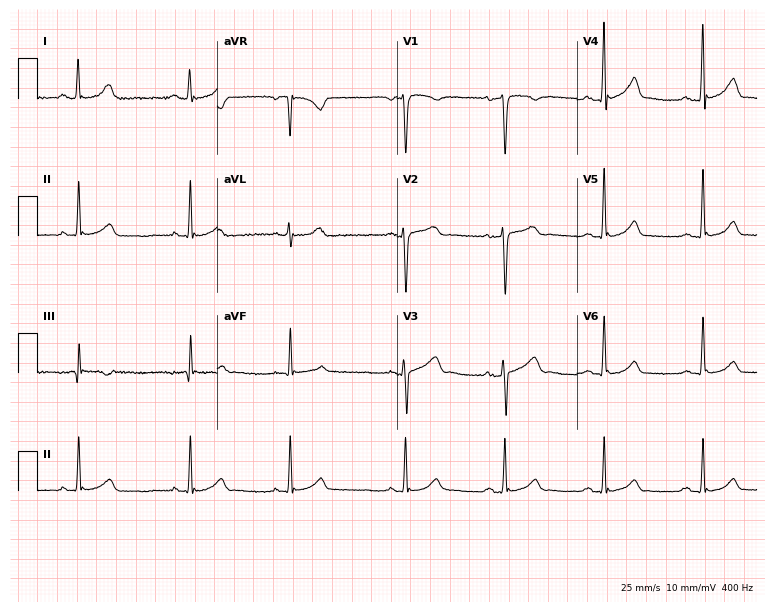
Resting 12-lead electrocardiogram (7.3-second recording at 400 Hz). Patient: a 44-year-old woman. Read as a normal ECG.